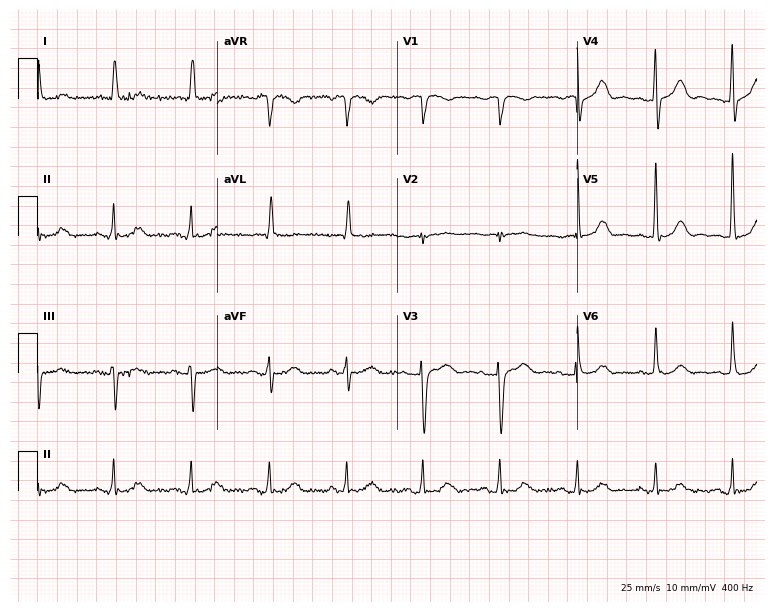
12-lead ECG (7.3-second recording at 400 Hz) from a 69-year-old woman. Labelled as a normal ECG.